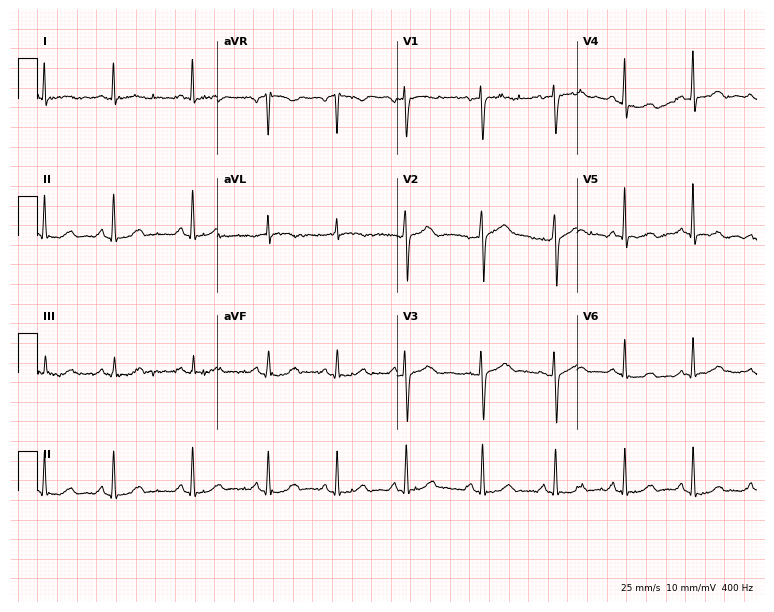
12-lead ECG (7.3-second recording at 400 Hz) from a woman, 56 years old. Screened for six findings — first-degree AV block, right bundle branch block (RBBB), left bundle branch block (LBBB), sinus bradycardia, atrial fibrillation (AF), sinus tachycardia — none is recorded. Only these six findings were labelled.